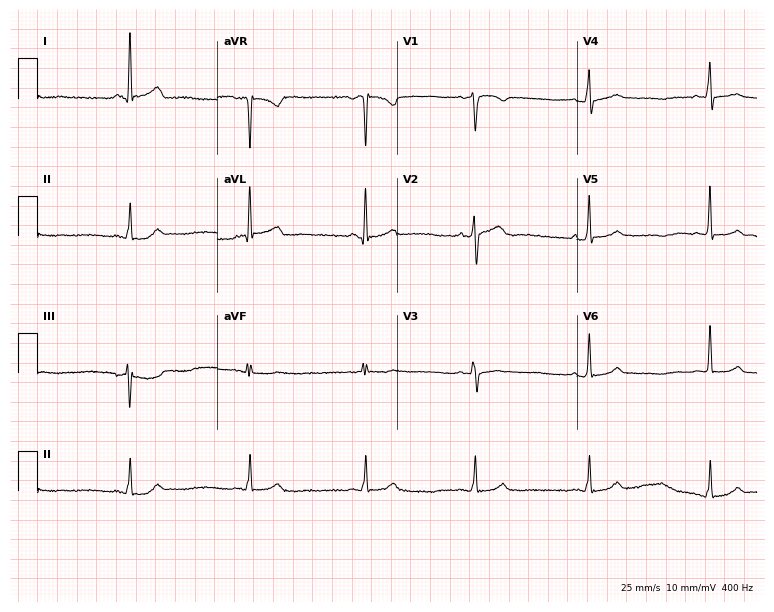
Resting 12-lead electrocardiogram (7.3-second recording at 400 Hz). Patient: a 55-year-old female. The tracing shows sinus bradycardia (a sinus rate of 50 beats per minute or less).